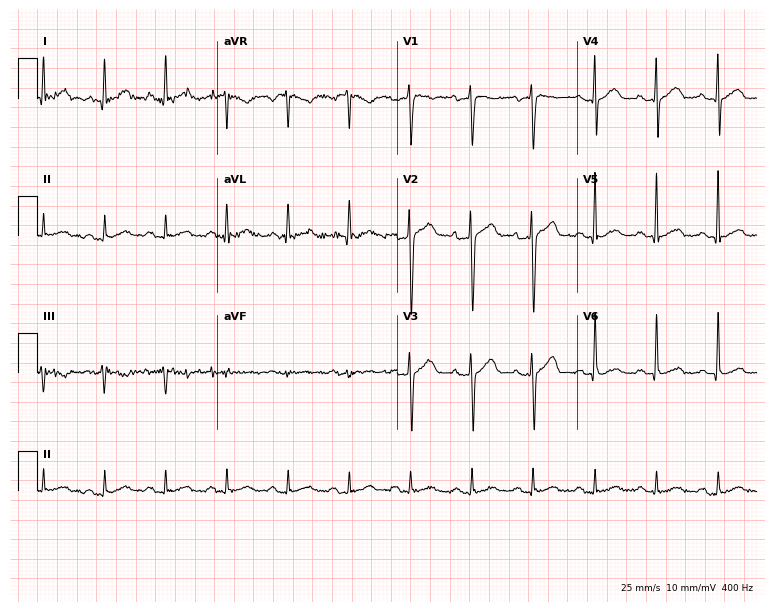
12-lead ECG from a 49-year-old man. No first-degree AV block, right bundle branch block (RBBB), left bundle branch block (LBBB), sinus bradycardia, atrial fibrillation (AF) or sinus tachycardia recorded for this tracing.